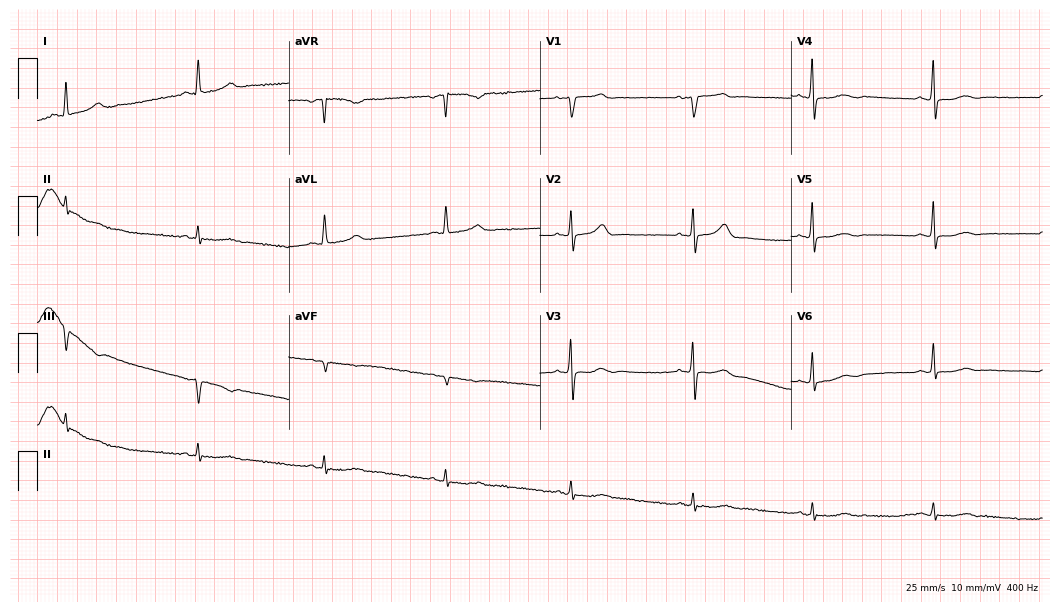
Resting 12-lead electrocardiogram (10.2-second recording at 400 Hz). Patient: a 74-year-old man. None of these six findings is recorded: first-degree AV block, right bundle branch block, left bundle branch block, sinus bradycardia, atrial fibrillation, sinus tachycardia. Other findings, if any, are not listed.